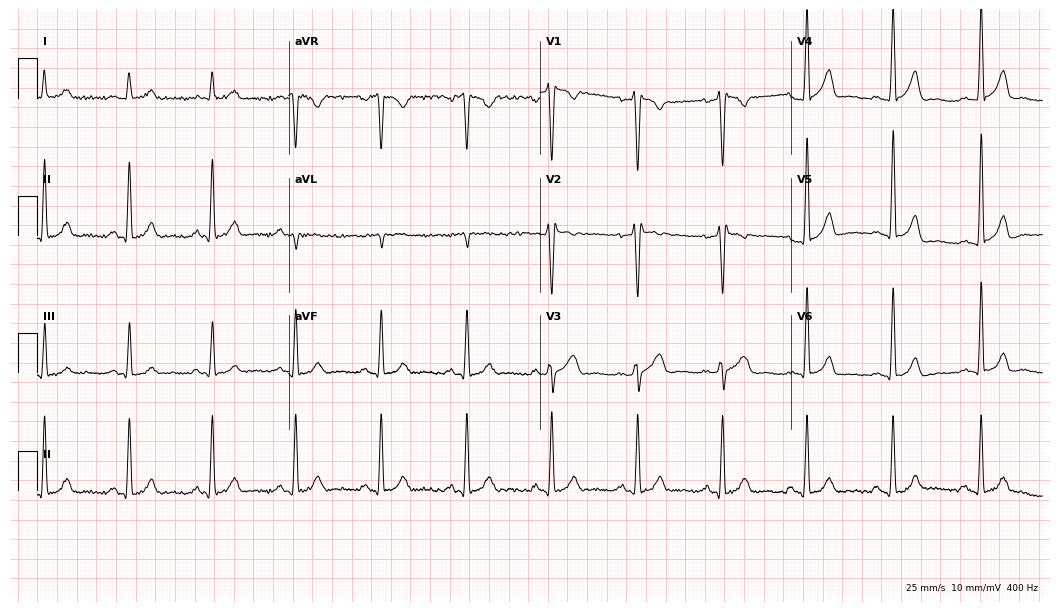
Electrocardiogram (10.2-second recording at 400 Hz), a male, 38 years old. Overall reading on record: normal ECG.